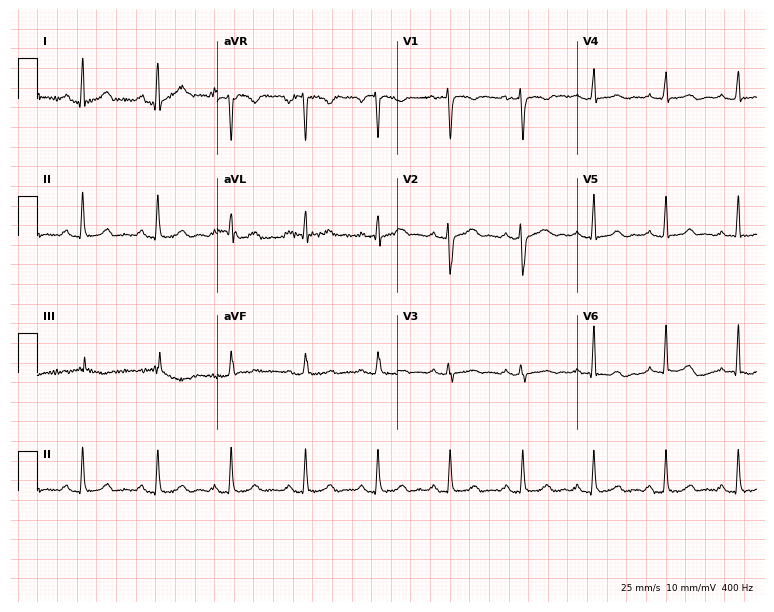
ECG (7.3-second recording at 400 Hz) — a 30-year-old female patient. Labelled as a normal ECG.